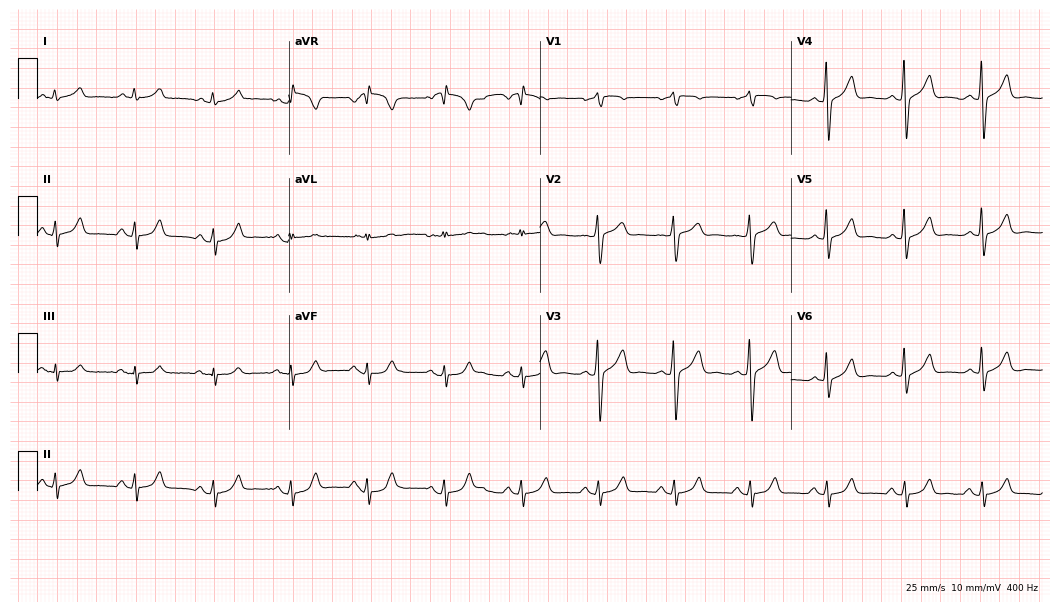
Electrocardiogram (10.2-second recording at 400 Hz), a male patient, 59 years old. Overall reading on record: normal ECG.